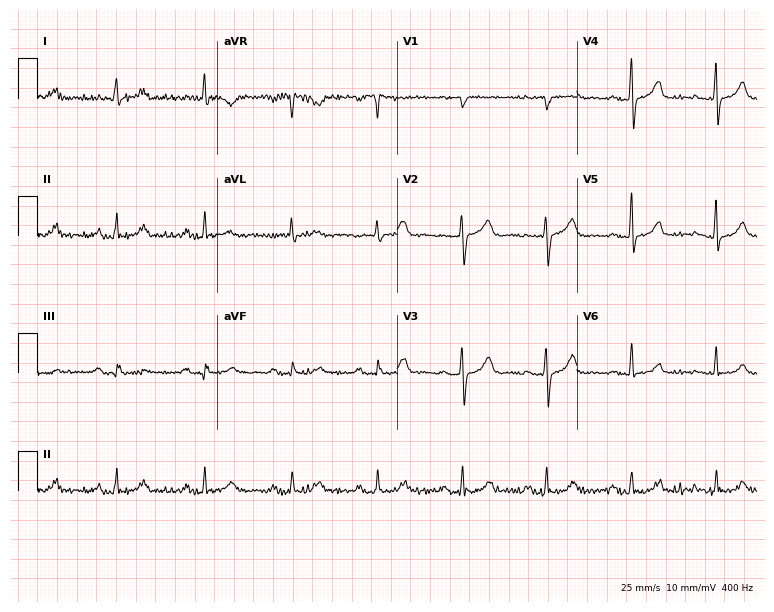
ECG (7.3-second recording at 400 Hz) — a man, 84 years old. Screened for six findings — first-degree AV block, right bundle branch block, left bundle branch block, sinus bradycardia, atrial fibrillation, sinus tachycardia — none is recorded.